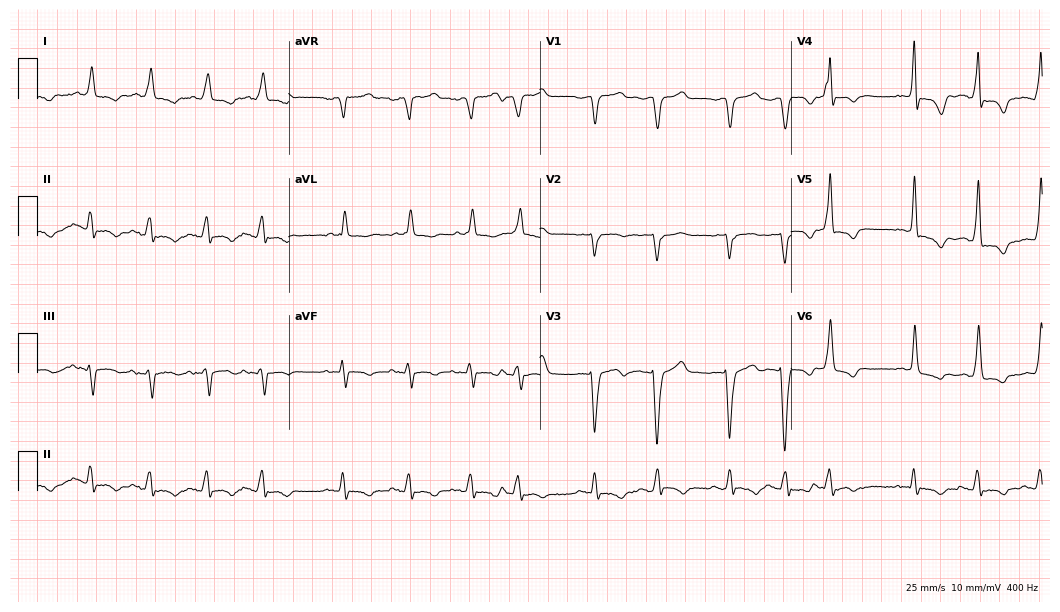
12-lead ECG from a 79-year-old male. Screened for six findings — first-degree AV block, right bundle branch block, left bundle branch block, sinus bradycardia, atrial fibrillation, sinus tachycardia — none is recorded.